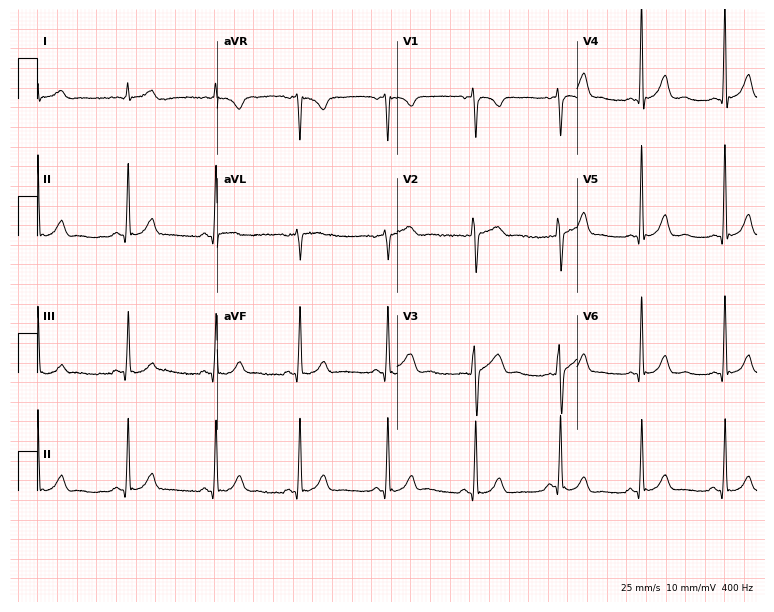
12-lead ECG (7.3-second recording at 400 Hz) from a man, 18 years old. Screened for six findings — first-degree AV block, right bundle branch block (RBBB), left bundle branch block (LBBB), sinus bradycardia, atrial fibrillation (AF), sinus tachycardia — none is recorded.